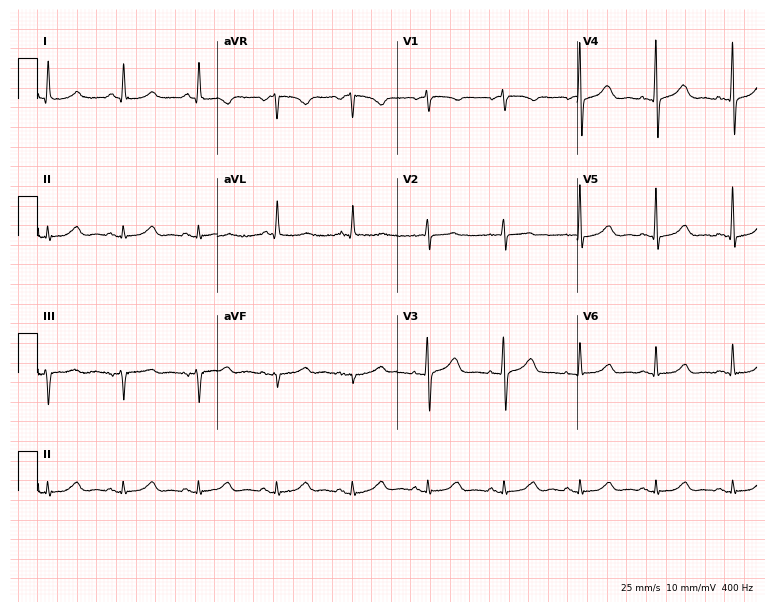
Resting 12-lead electrocardiogram. Patient: a female, 74 years old. Read as a normal ECG.